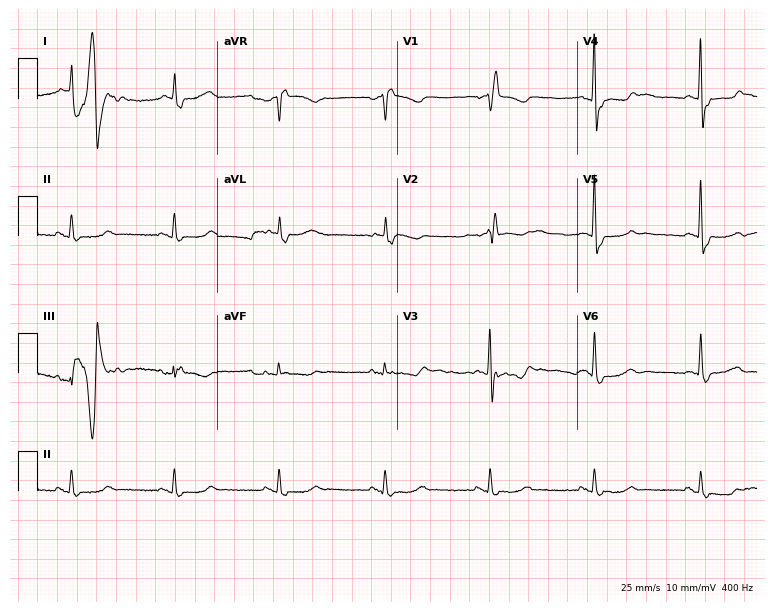
Electrocardiogram (7.3-second recording at 400 Hz), a 69-year-old male patient. Interpretation includes right bundle branch block (RBBB).